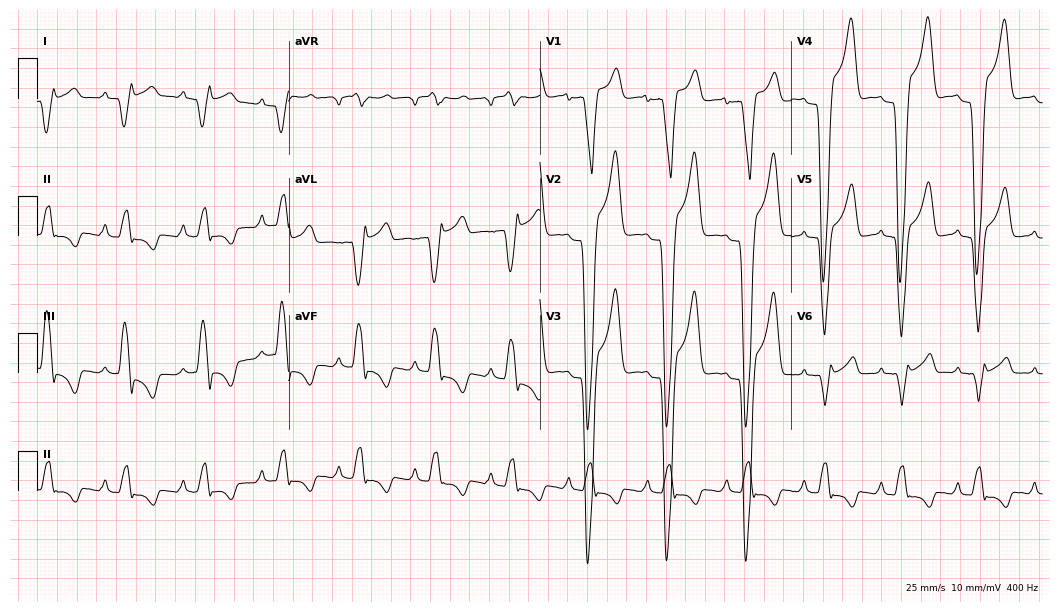
Electrocardiogram (10.2-second recording at 400 Hz), a male, 55 years old. Of the six screened findings (first-degree AV block, right bundle branch block, left bundle branch block, sinus bradycardia, atrial fibrillation, sinus tachycardia), none is recorded. Only these six findings were labelled.